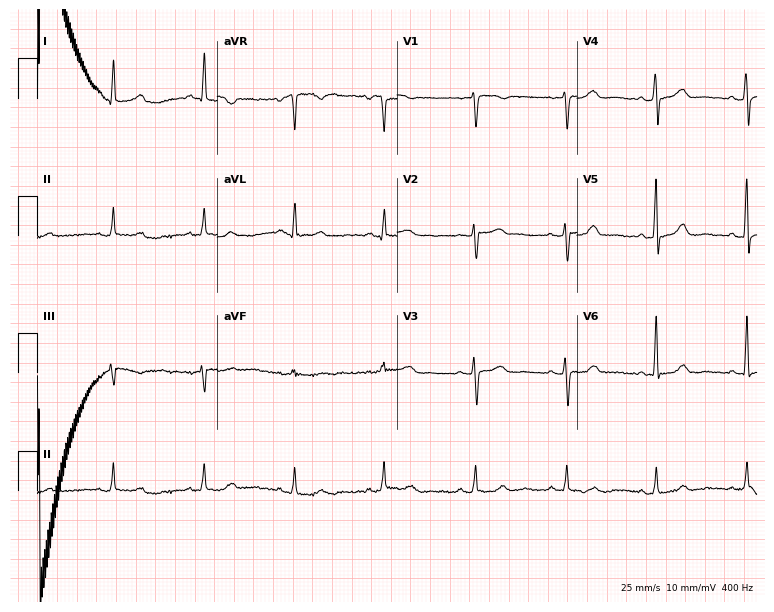
Standard 12-lead ECG recorded from a female patient, 54 years old. None of these six findings is recorded: first-degree AV block, right bundle branch block (RBBB), left bundle branch block (LBBB), sinus bradycardia, atrial fibrillation (AF), sinus tachycardia. Findings outside these six are not listed.